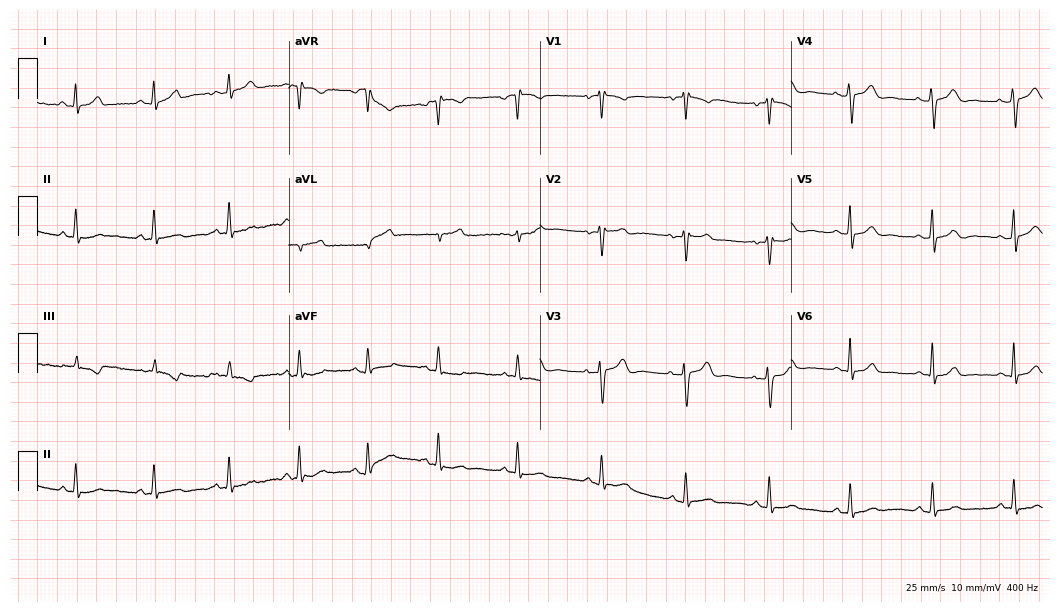
ECG (10.2-second recording at 400 Hz) — a 35-year-old female. Labelled as a normal ECG.